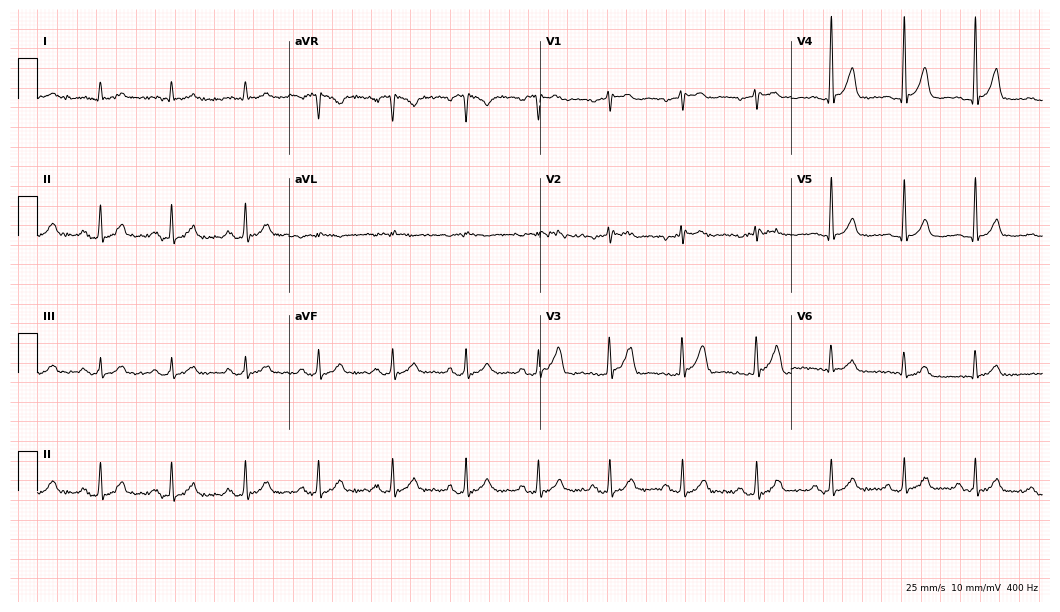
12-lead ECG from a 52-year-old male (10.2-second recording at 400 Hz). Recorded interpretation: within normal limits.